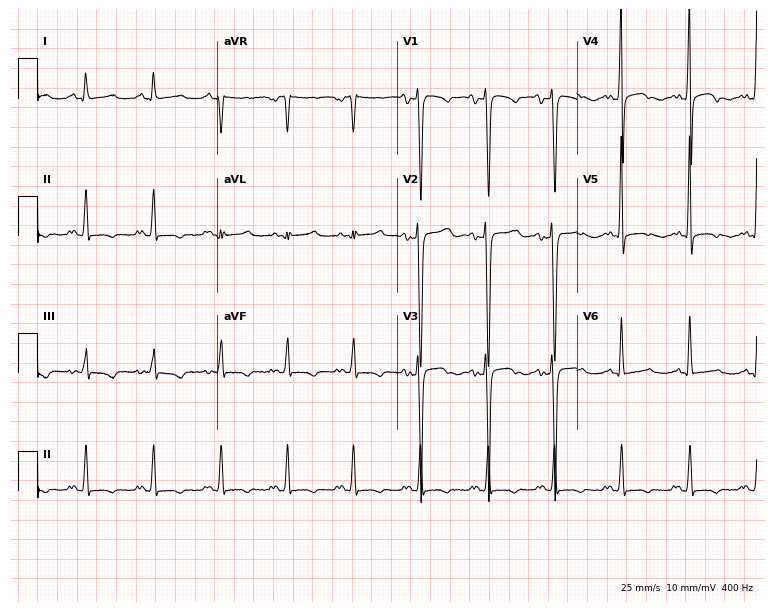
12-lead ECG from a male, 43 years old (7.3-second recording at 400 Hz). No first-degree AV block, right bundle branch block, left bundle branch block, sinus bradycardia, atrial fibrillation or sinus tachycardia recorded for this tracing. Other findings, if any, are not listed.